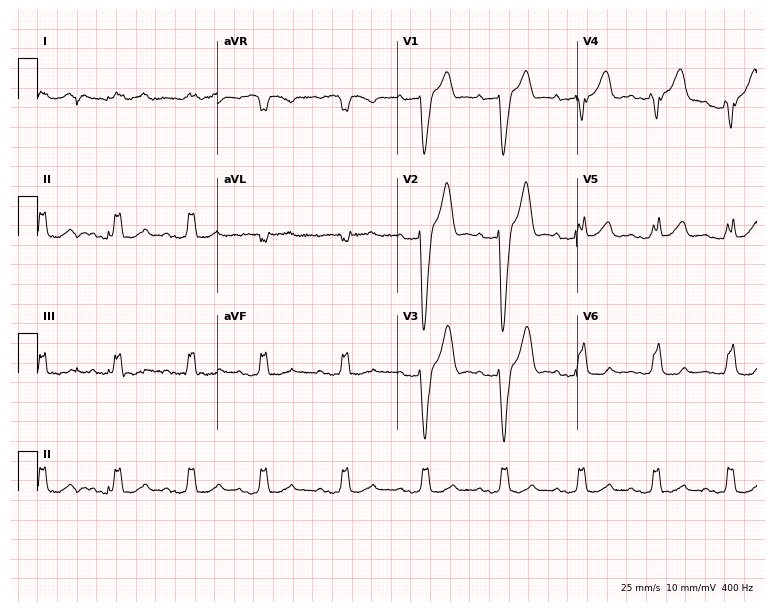
12-lead ECG from a 65-year-old woman (7.3-second recording at 400 Hz). Shows left bundle branch block (LBBB).